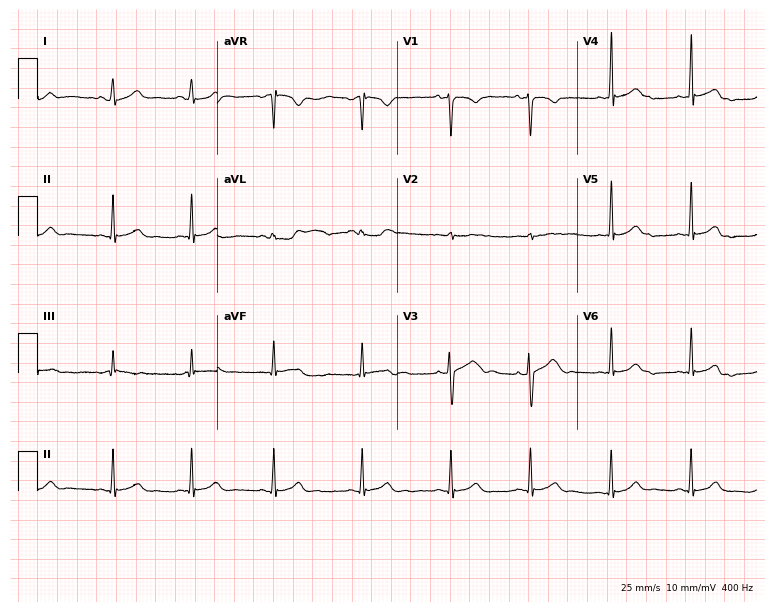
ECG — a 21-year-old female patient. Labelled as a normal ECG.